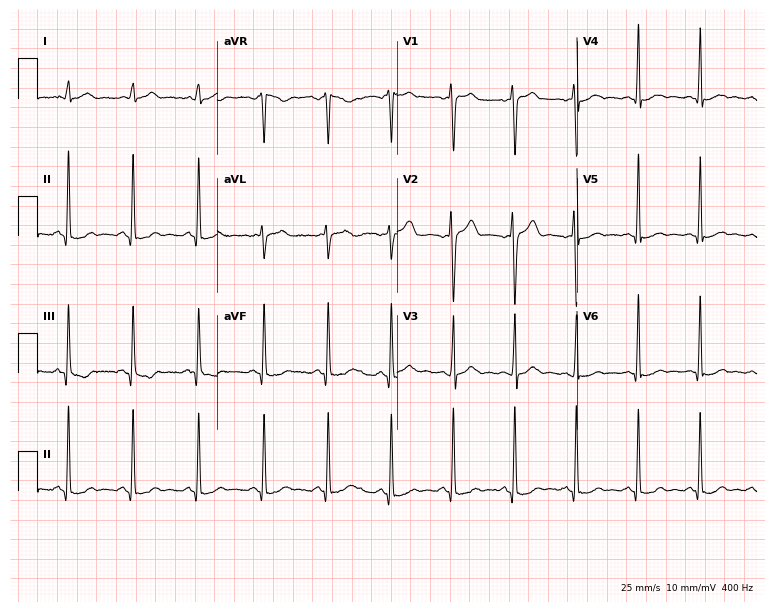
ECG (7.3-second recording at 400 Hz) — a 31-year-old man. Screened for six findings — first-degree AV block, right bundle branch block, left bundle branch block, sinus bradycardia, atrial fibrillation, sinus tachycardia — none is recorded. Other findings, if any, are not listed.